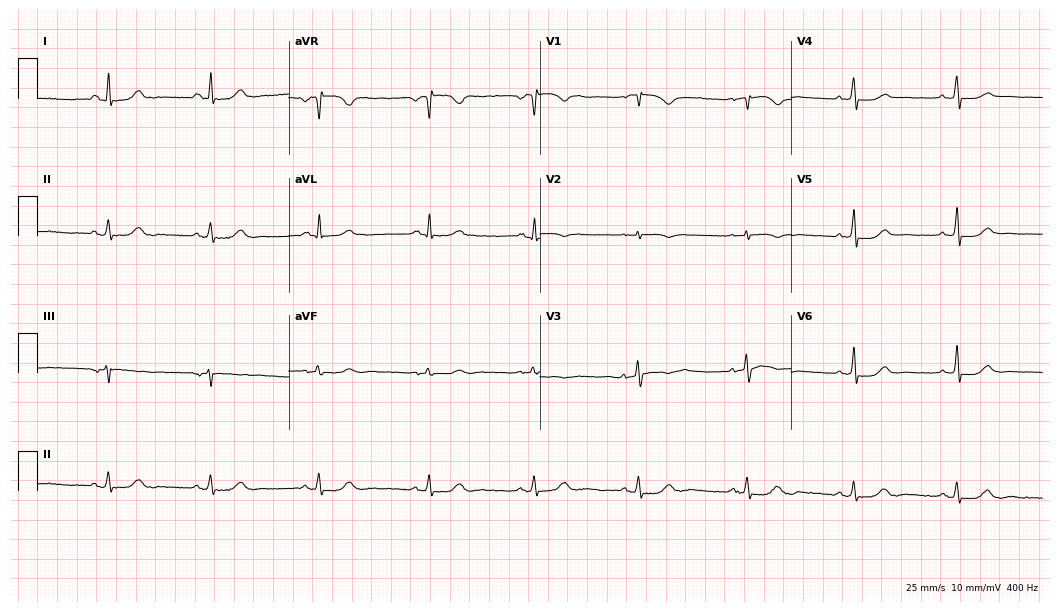
ECG (10.2-second recording at 400 Hz) — a 52-year-old woman. Screened for six findings — first-degree AV block, right bundle branch block (RBBB), left bundle branch block (LBBB), sinus bradycardia, atrial fibrillation (AF), sinus tachycardia — none is recorded. Other findings, if any, are not listed.